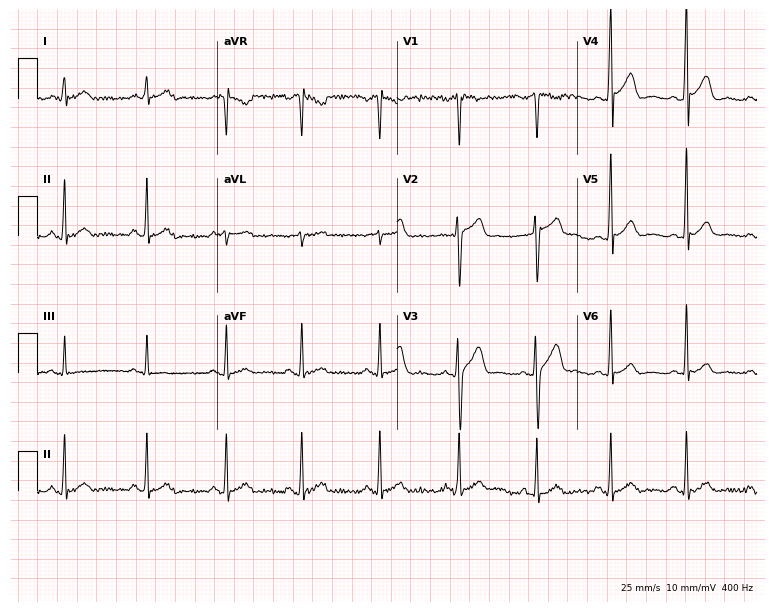
12-lead ECG from a 31-year-old man. No first-degree AV block, right bundle branch block (RBBB), left bundle branch block (LBBB), sinus bradycardia, atrial fibrillation (AF) or sinus tachycardia recorded for this tracing.